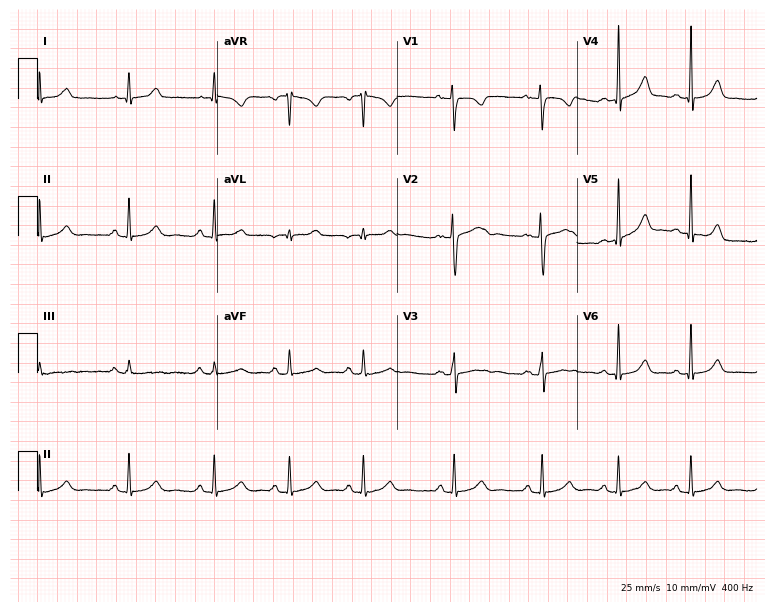
ECG (7.3-second recording at 400 Hz) — a 17-year-old female patient. Labelled as a normal ECG.